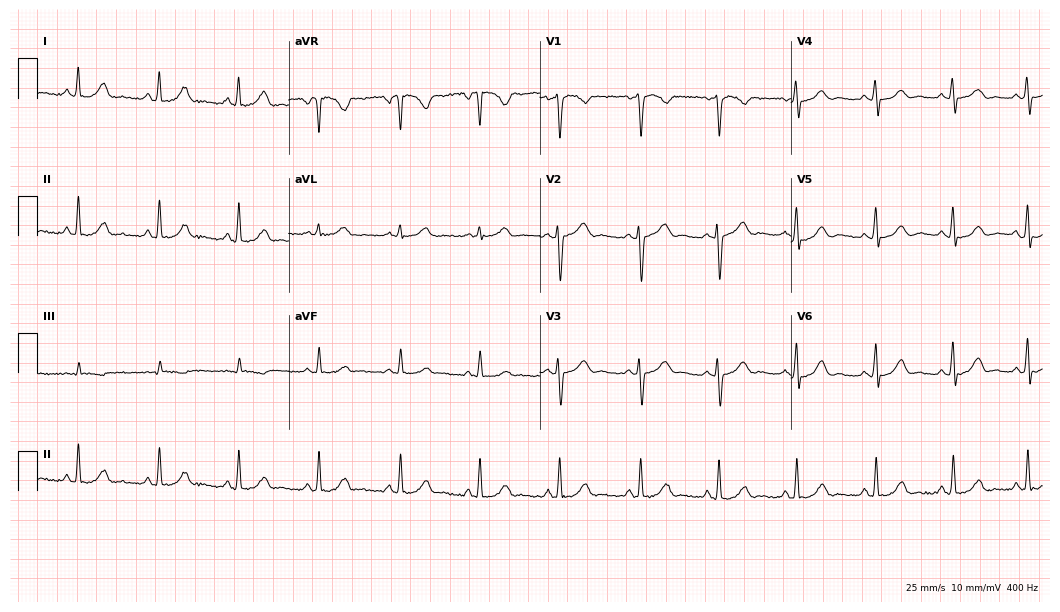
12-lead ECG from a female, 25 years old. Recorded interpretation: within normal limits.